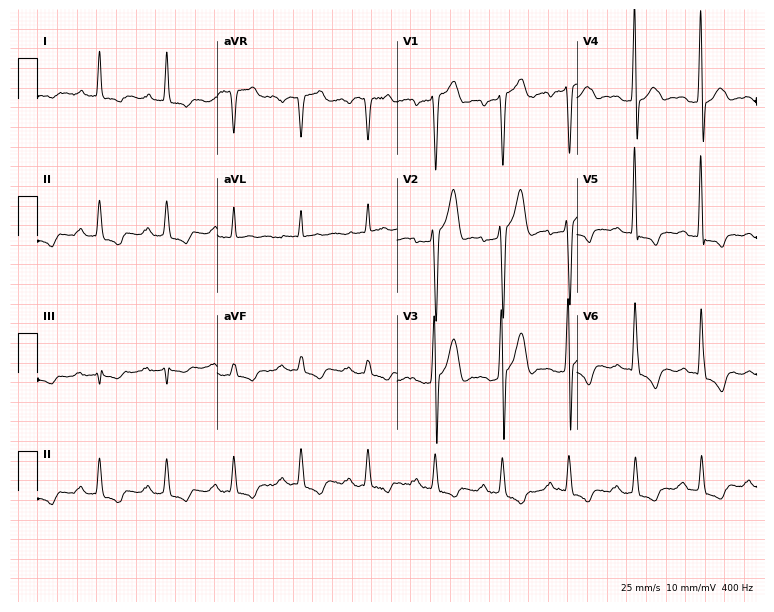
12-lead ECG from a male, 32 years old (7.3-second recording at 400 Hz). Shows first-degree AV block.